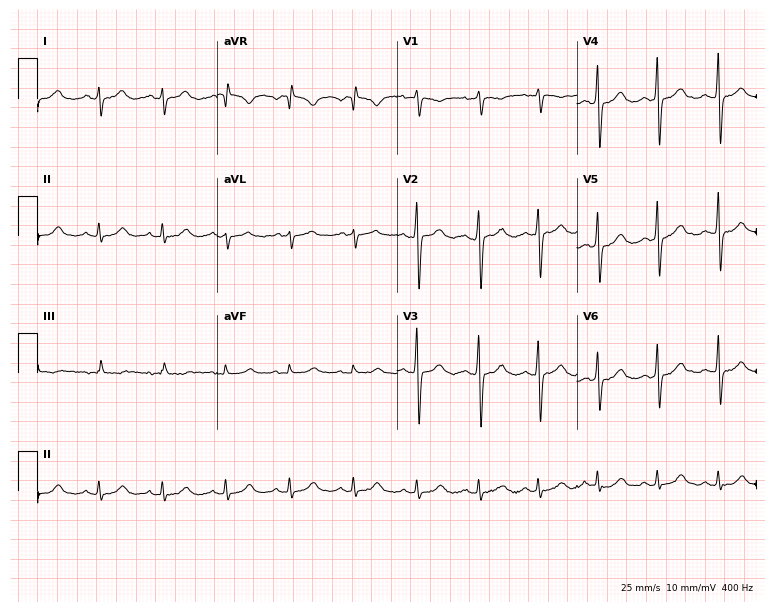
Electrocardiogram (7.3-second recording at 400 Hz), a 51-year-old woman. Of the six screened findings (first-degree AV block, right bundle branch block, left bundle branch block, sinus bradycardia, atrial fibrillation, sinus tachycardia), none is recorded.